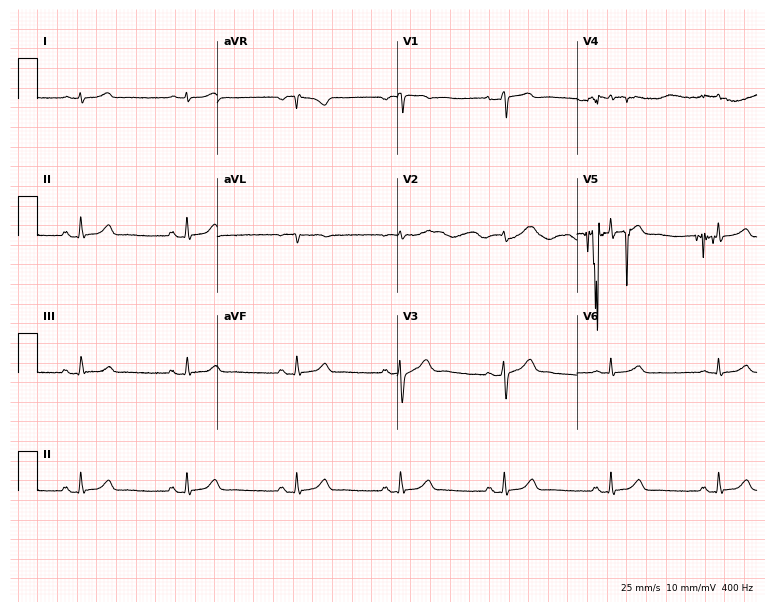
Resting 12-lead electrocardiogram (7.3-second recording at 400 Hz). Patient: a male, 27 years old. None of these six findings is recorded: first-degree AV block, right bundle branch block, left bundle branch block, sinus bradycardia, atrial fibrillation, sinus tachycardia. Only these six findings were labelled.